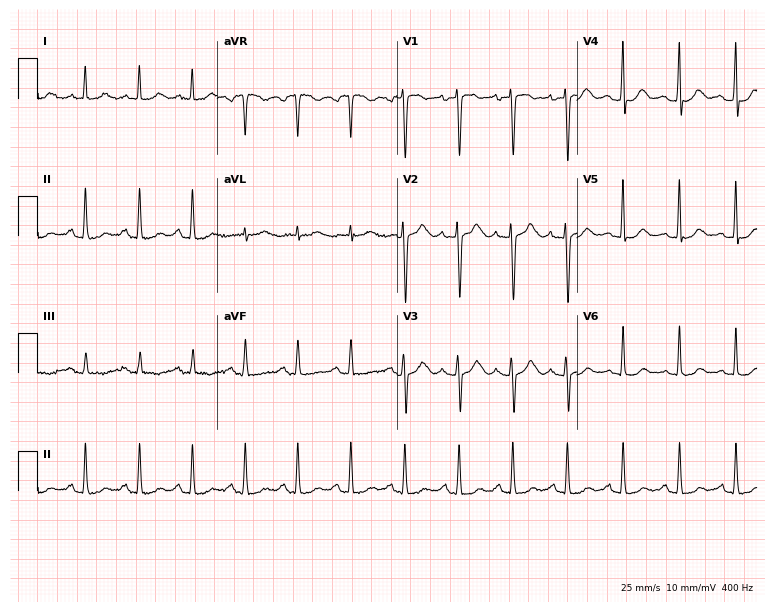
Standard 12-lead ECG recorded from a female patient, 23 years old (7.3-second recording at 400 Hz). The tracing shows sinus tachycardia (a sinus rate of 100 beats per minute or more).